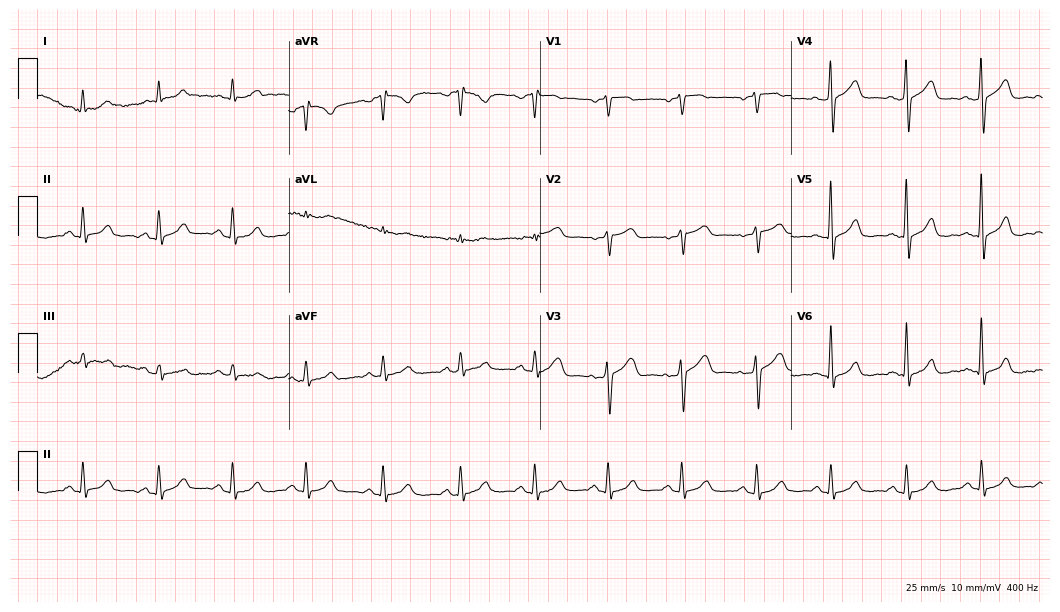
Standard 12-lead ECG recorded from a 63-year-old male patient (10.2-second recording at 400 Hz). Read as a normal ECG.